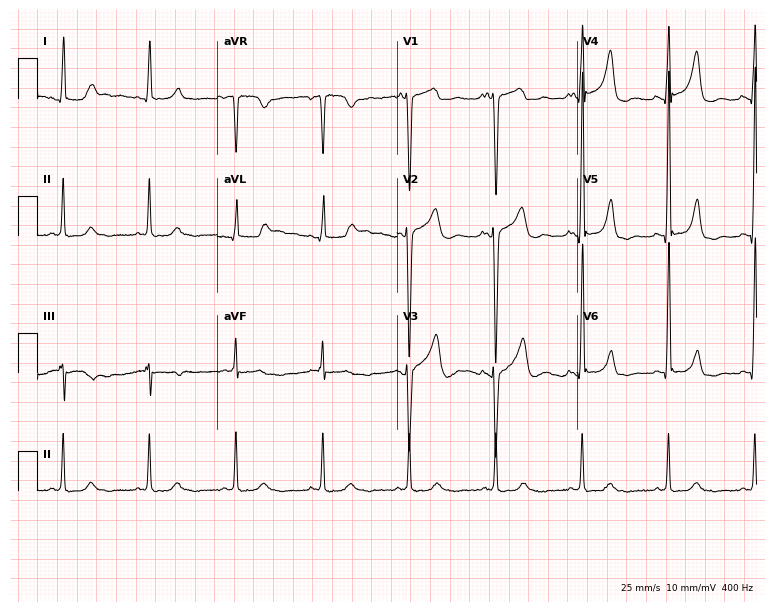
12-lead ECG from a 48-year-old man. Screened for six findings — first-degree AV block, right bundle branch block, left bundle branch block, sinus bradycardia, atrial fibrillation, sinus tachycardia — none is recorded. Only these six findings were labelled.